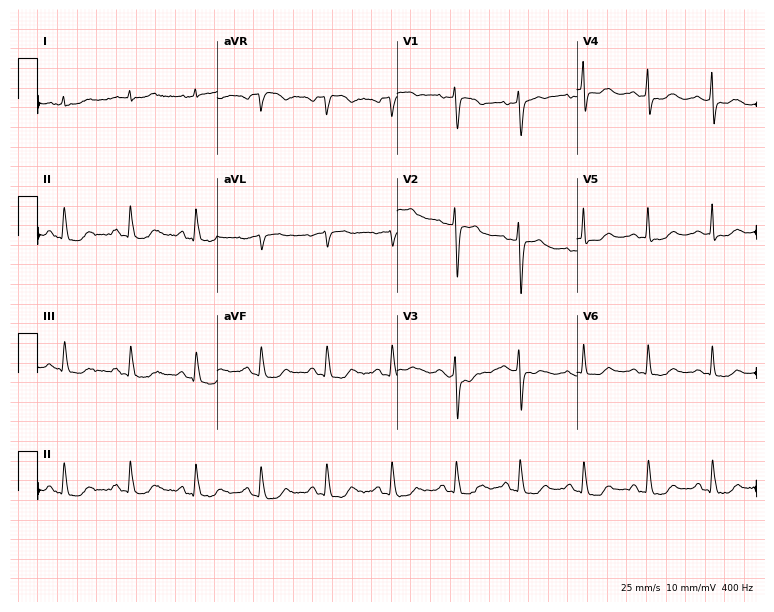
Resting 12-lead electrocardiogram. Patient: a 64-year-old female. None of these six findings is recorded: first-degree AV block, right bundle branch block, left bundle branch block, sinus bradycardia, atrial fibrillation, sinus tachycardia. Only these six findings were labelled.